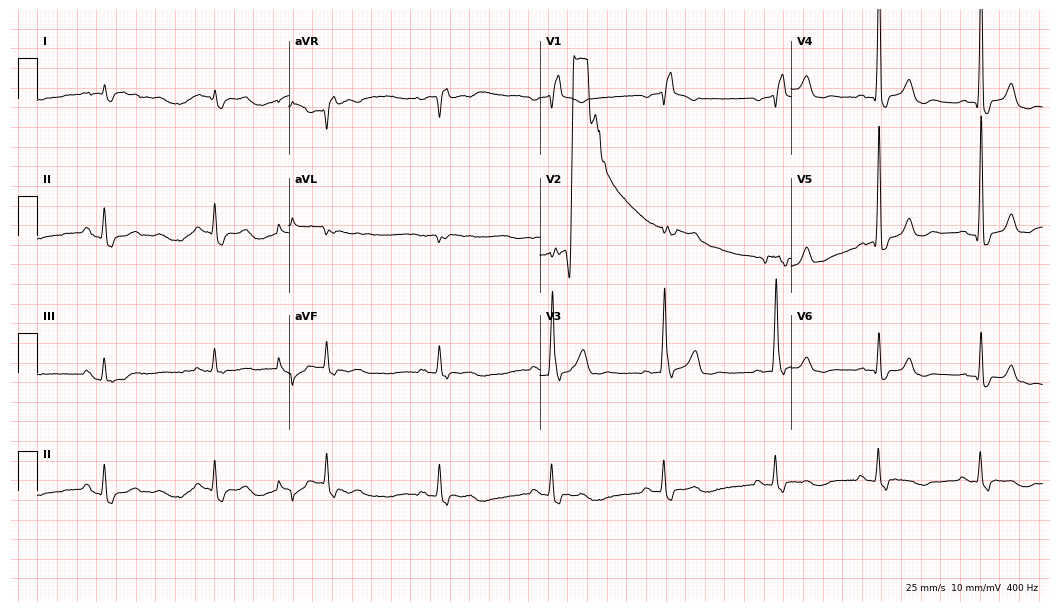
Resting 12-lead electrocardiogram. Patient: an 82-year-old male. The tracing shows atrial fibrillation.